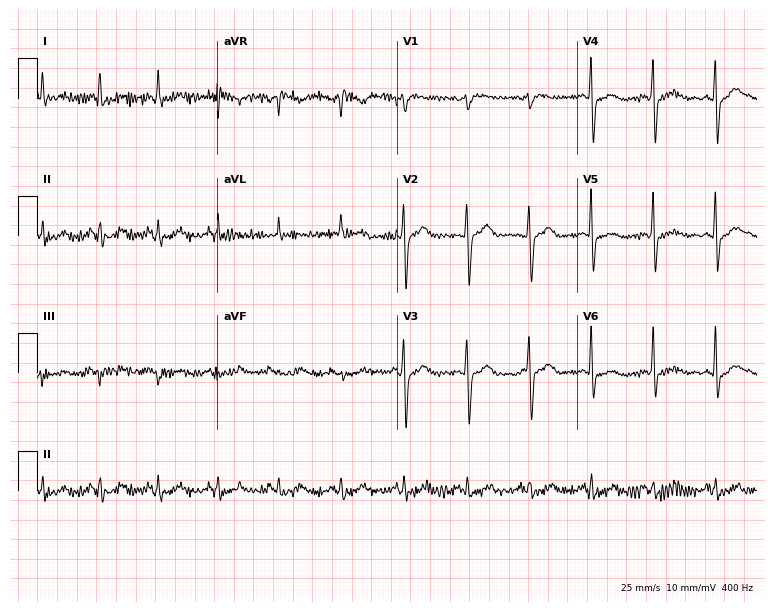
Resting 12-lead electrocardiogram. Patient: a 66-year-old male. None of these six findings is recorded: first-degree AV block, right bundle branch block, left bundle branch block, sinus bradycardia, atrial fibrillation, sinus tachycardia. Other findings, if any, are not listed.